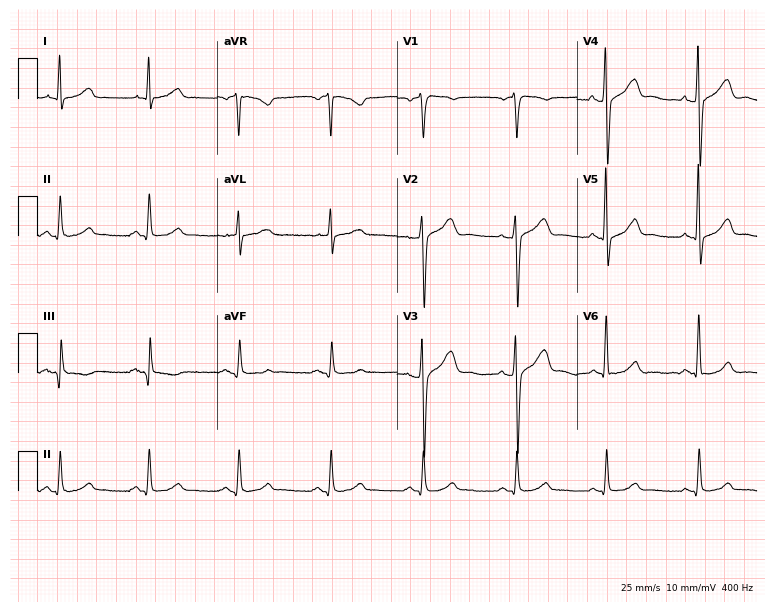
Standard 12-lead ECG recorded from a 39-year-old male (7.3-second recording at 400 Hz). Read as a normal ECG.